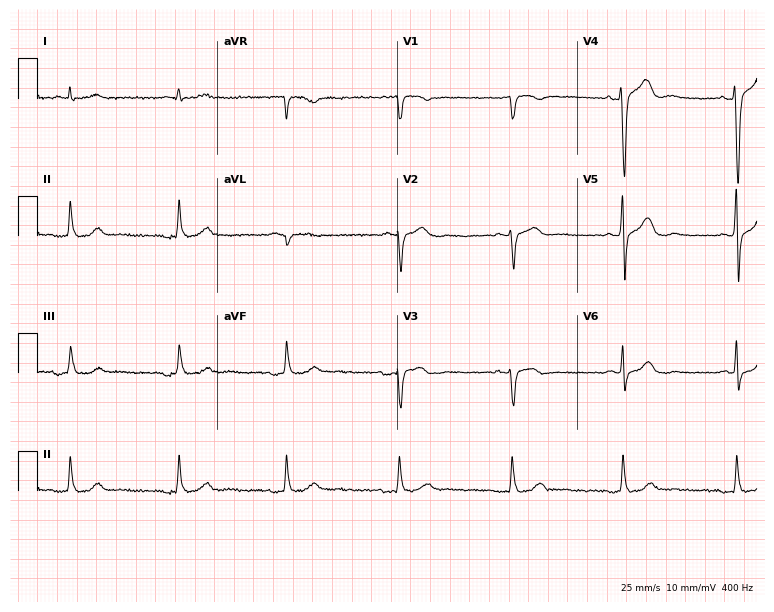
Standard 12-lead ECG recorded from a 57-year-old male patient. Read as a normal ECG.